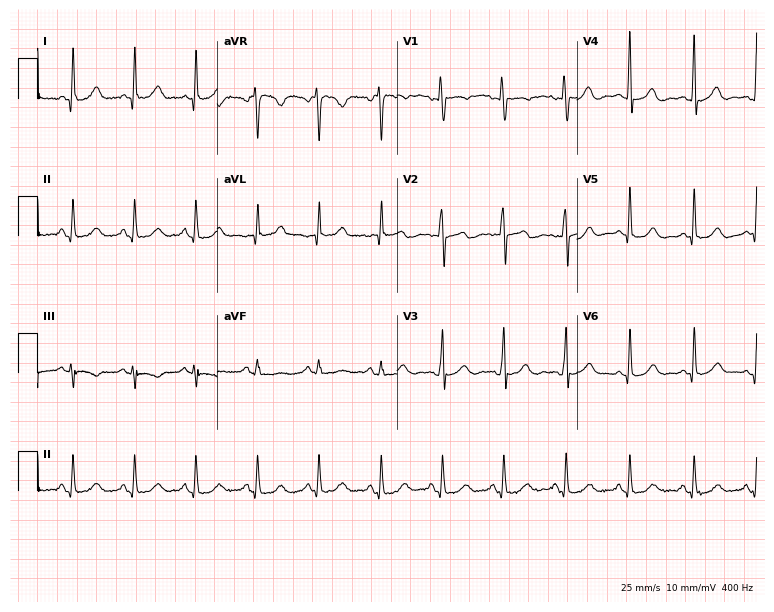
12-lead ECG from a female patient, 40 years old. Recorded interpretation: within normal limits.